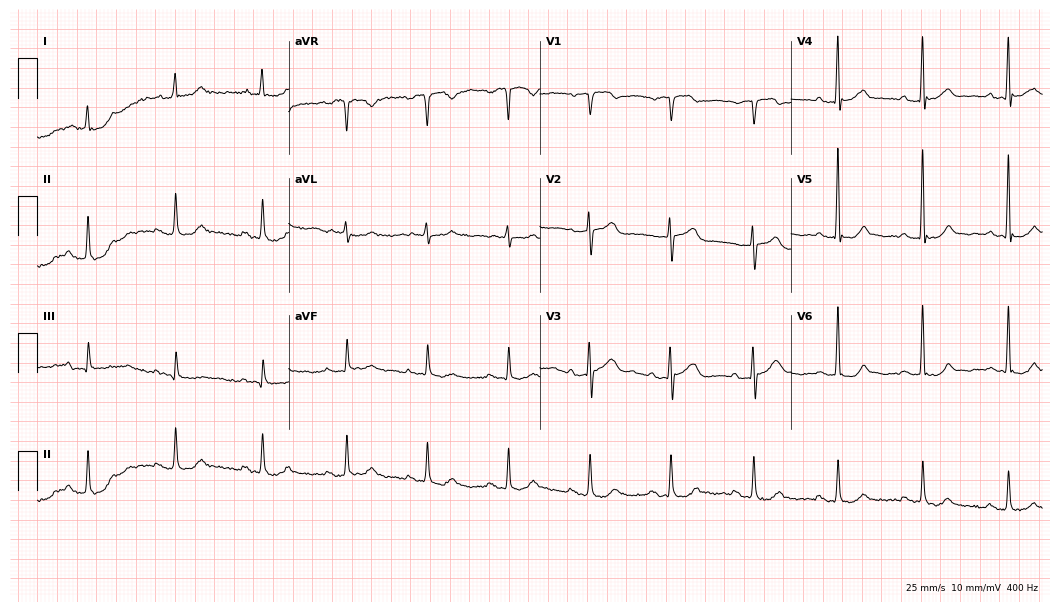
Standard 12-lead ECG recorded from a 71-year-old man (10.2-second recording at 400 Hz). None of these six findings is recorded: first-degree AV block, right bundle branch block (RBBB), left bundle branch block (LBBB), sinus bradycardia, atrial fibrillation (AF), sinus tachycardia.